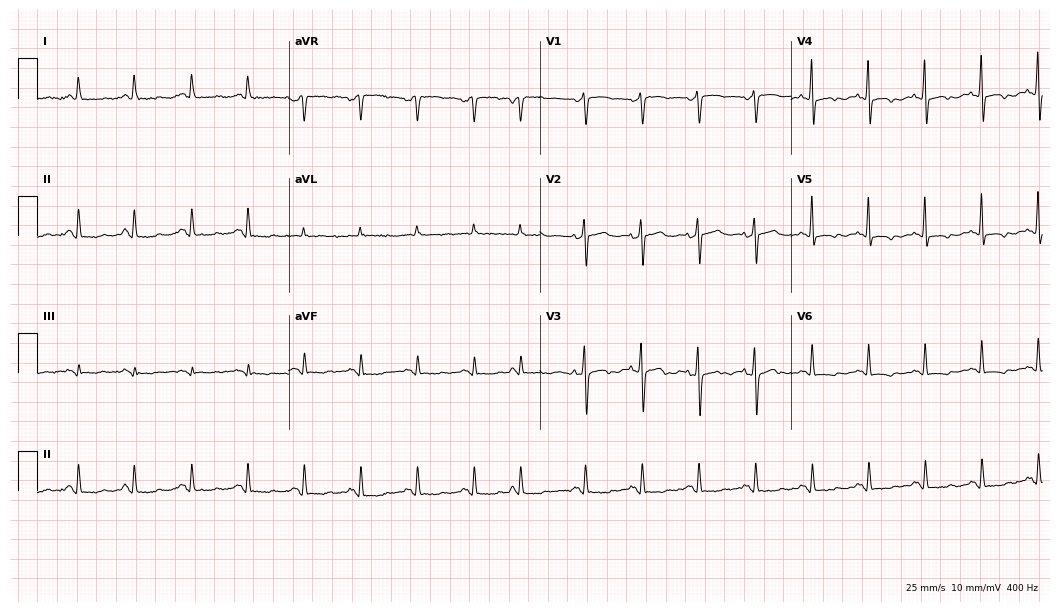
Resting 12-lead electrocardiogram. Patient: a 67-year-old woman. None of these six findings is recorded: first-degree AV block, right bundle branch block, left bundle branch block, sinus bradycardia, atrial fibrillation, sinus tachycardia. Findings outside these six are not listed.